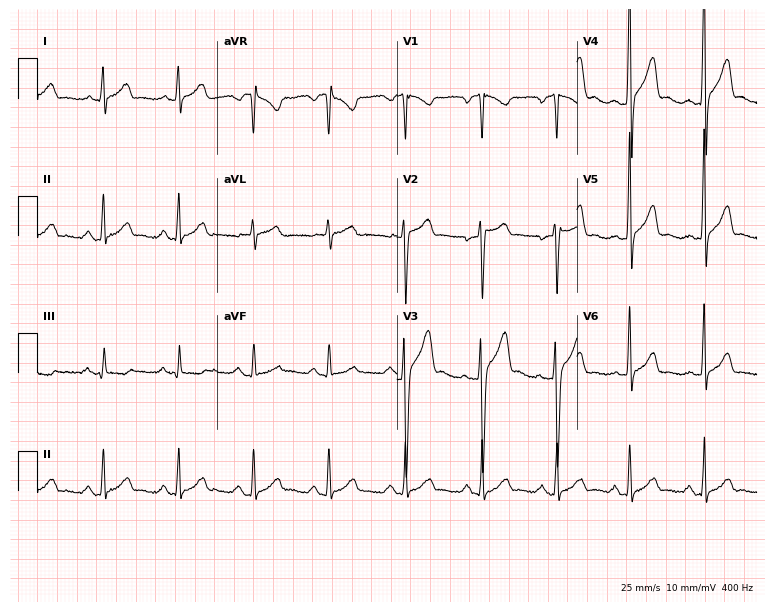
ECG (7.3-second recording at 400 Hz) — a 32-year-old man. Labelled as a normal ECG.